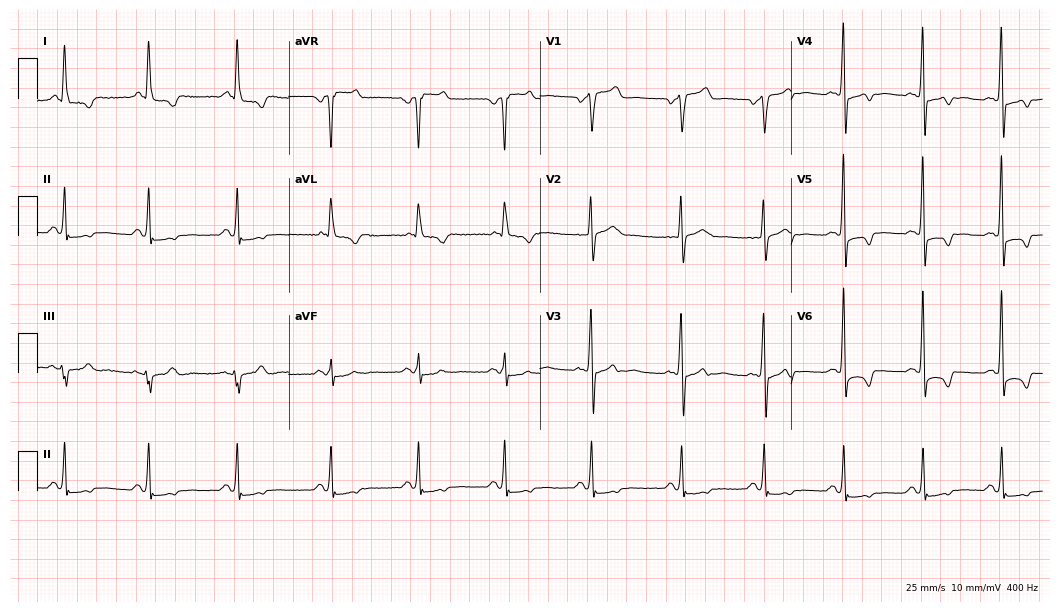
Electrocardiogram, a 74-year-old male patient. Of the six screened findings (first-degree AV block, right bundle branch block (RBBB), left bundle branch block (LBBB), sinus bradycardia, atrial fibrillation (AF), sinus tachycardia), none is recorded. Only these six findings were labelled.